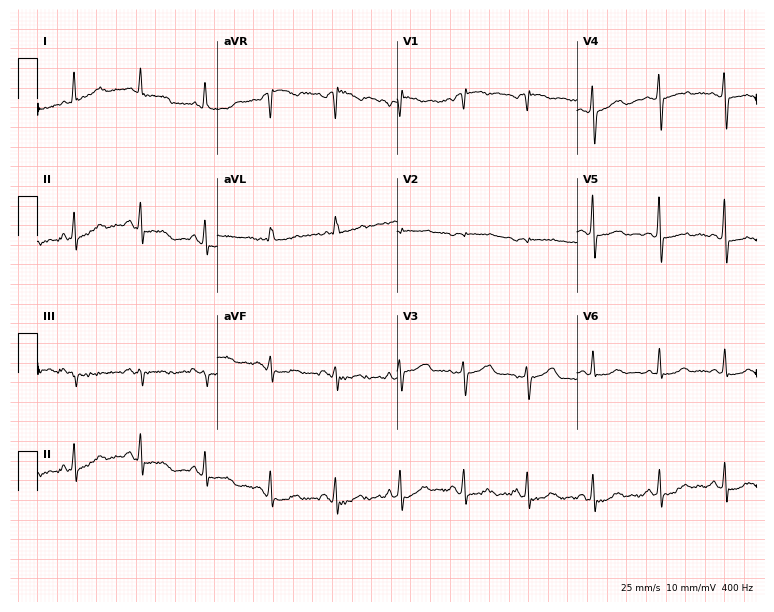
Electrocardiogram, a female patient, 64 years old. Of the six screened findings (first-degree AV block, right bundle branch block (RBBB), left bundle branch block (LBBB), sinus bradycardia, atrial fibrillation (AF), sinus tachycardia), none is recorded. Only these six findings were labelled.